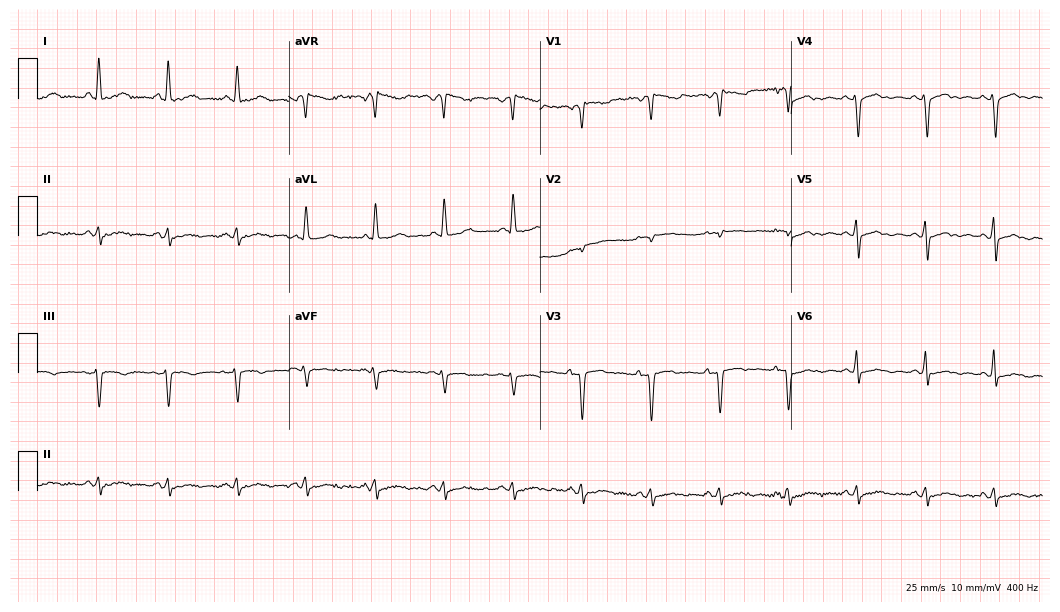
Electrocardiogram, a 43-year-old female patient. Of the six screened findings (first-degree AV block, right bundle branch block, left bundle branch block, sinus bradycardia, atrial fibrillation, sinus tachycardia), none is recorded. Other findings, if any, are not listed.